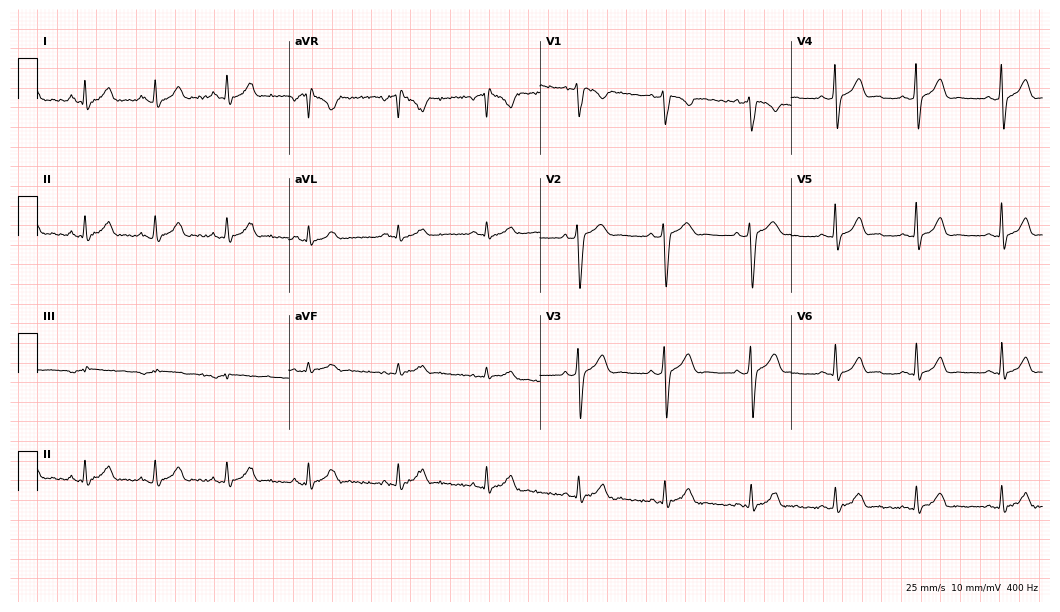
12-lead ECG from a man, 27 years old. Recorded interpretation: within normal limits.